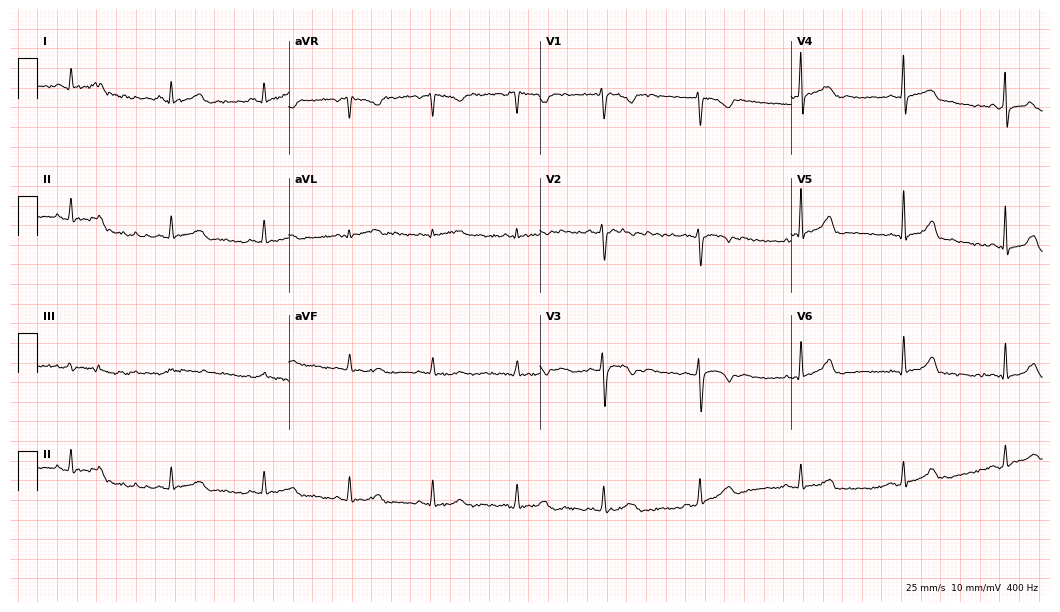
Electrocardiogram (10.2-second recording at 400 Hz), a female, 22 years old. Of the six screened findings (first-degree AV block, right bundle branch block (RBBB), left bundle branch block (LBBB), sinus bradycardia, atrial fibrillation (AF), sinus tachycardia), none is recorded.